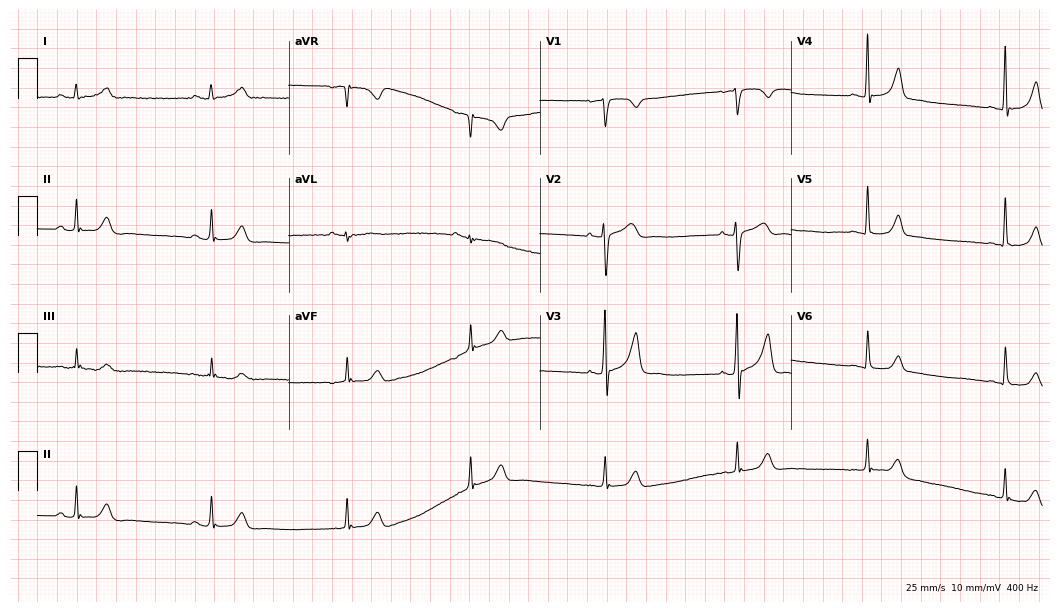
ECG (10.2-second recording at 400 Hz) — a 52-year-old man. Findings include sinus bradycardia (a sinus rate of 50 beats per minute or less).